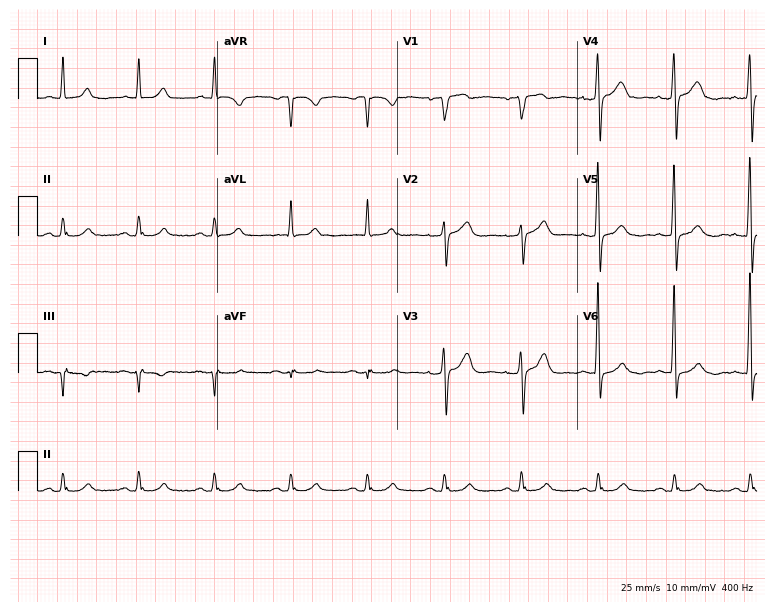
Standard 12-lead ECG recorded from a 53-year-old male. None of these six findings is recorded: first-degree AV block, right bundle branch block (RBBB), left bundle branch block (LBBB), sinus bradycardia, atrial fibrillation (AF), sinus tachycardia. Only these six findings were labelled.